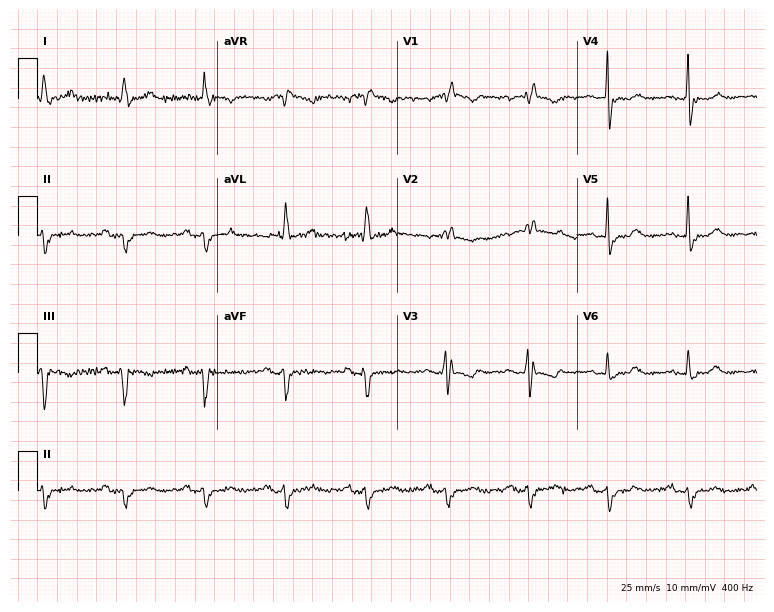
Standard 12-lead ECG recorded from a 79-year-old woman (7.3-second recording at 400 Hz). The tracing shows right bundle branch block.